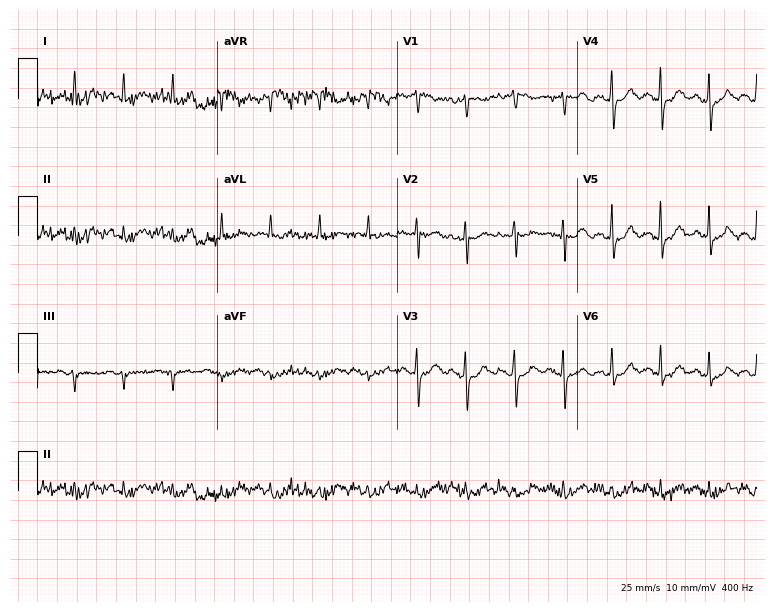
Standard 12-lead ECG recorded from a 69-year-old female patient (7.3-second recording at 400 Hz). None of these six findings is recorded: first-degree AV block, right bundle branch block, left bundle branch block, sinus bradycardia, atrial fibrillation, sinus tachycardia. Only these six findings were labelled.